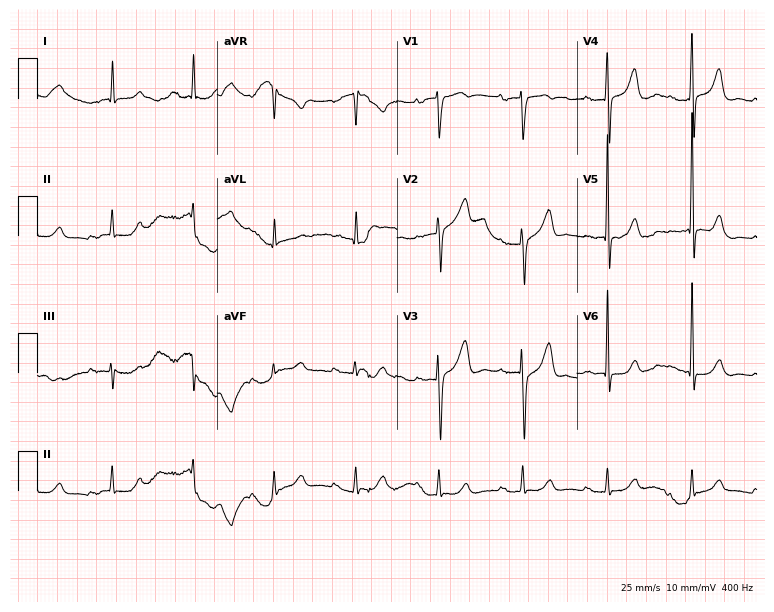
Resting 12-lead electrocardiogram. Patient: an 81-year-old female. The tracing shows first-degree AV block.